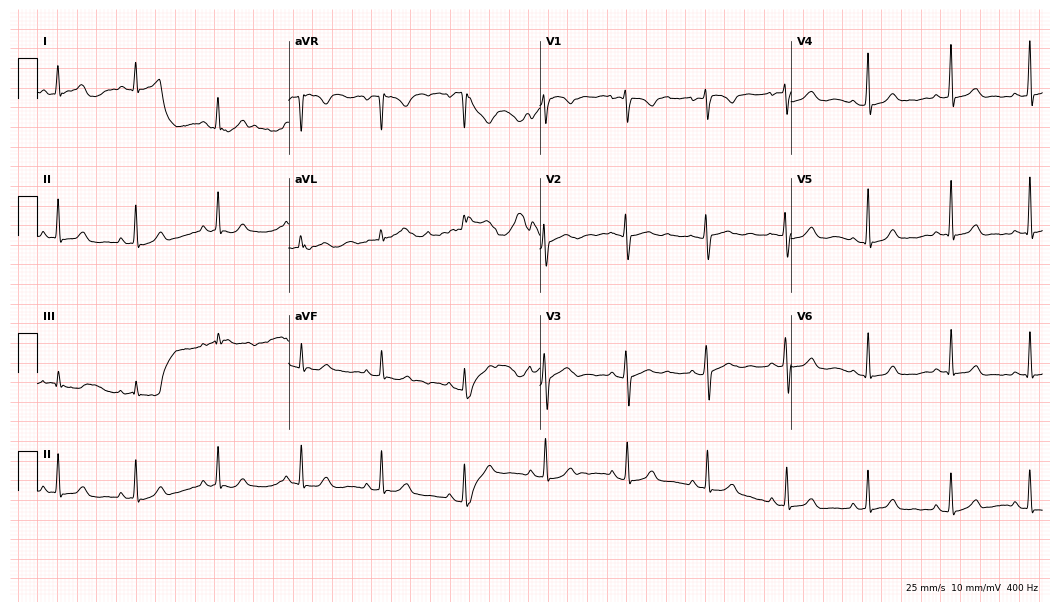
12-lead ECG from a woman, 24 years old. No first-degree AV block, right bundle branch block, left bundle branch block, sinus bradycardia, atrial fibrillation or sinus tachycardia recorded for this tracing. Findings outside these six are not listed.